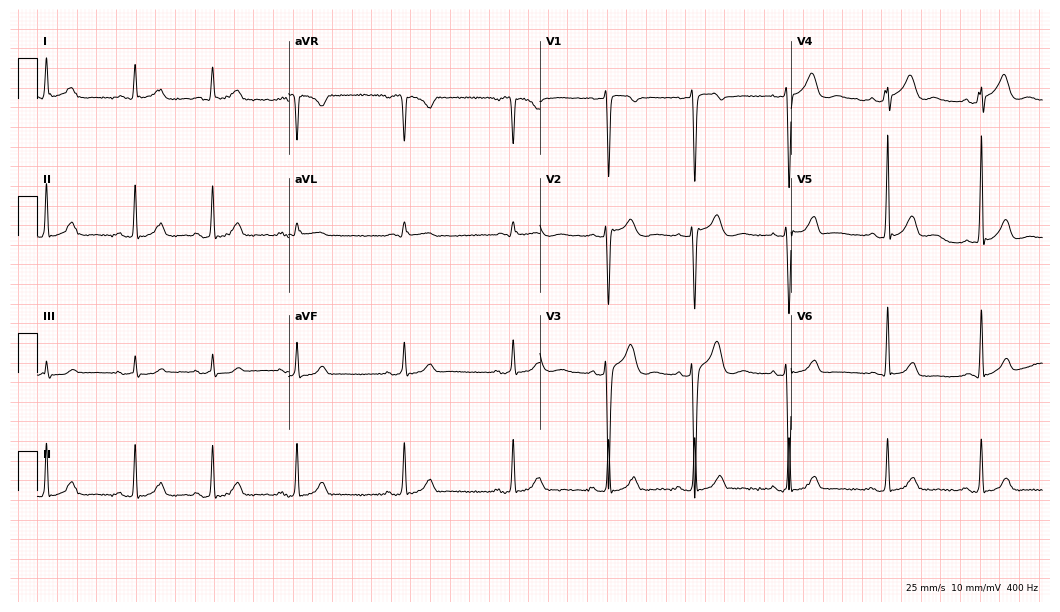
ECG (10.2-second recording at 400 Hz) — a 32-year-old male. Labelled as a normal ECG.